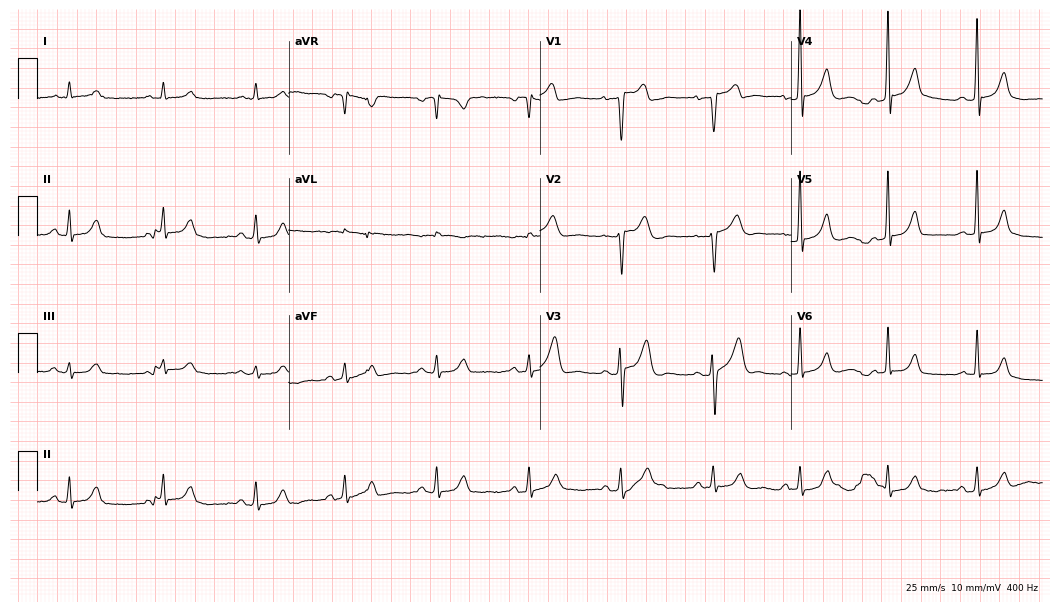
Standard 12-lead ECG recorded from a man, 57 years old. Read as a normal ECG.